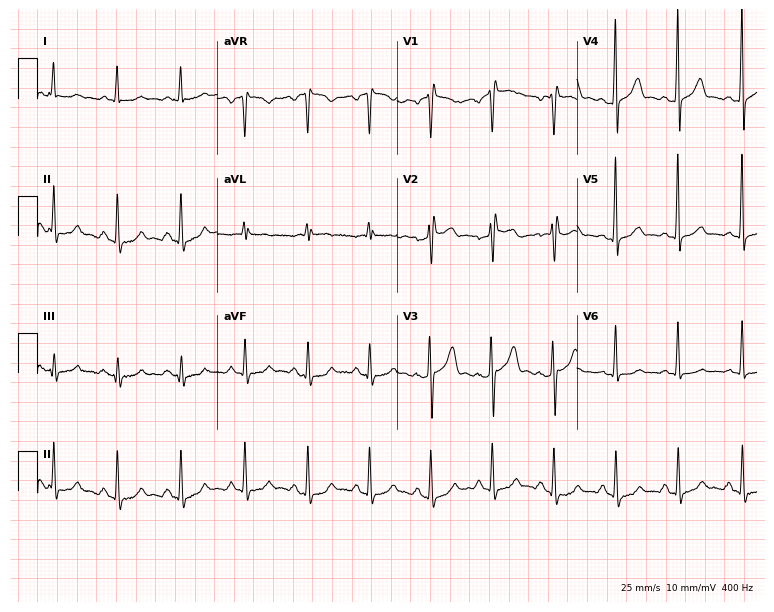
ECG — a male patient, 54 years old. Screened for six findings — first-degree AV block, right bundle branch block (RBBB), left bundle branch block (LBBB), sinus bradycardia, atrial fibrillation (AF), sinus tachycardia — none is recorded.